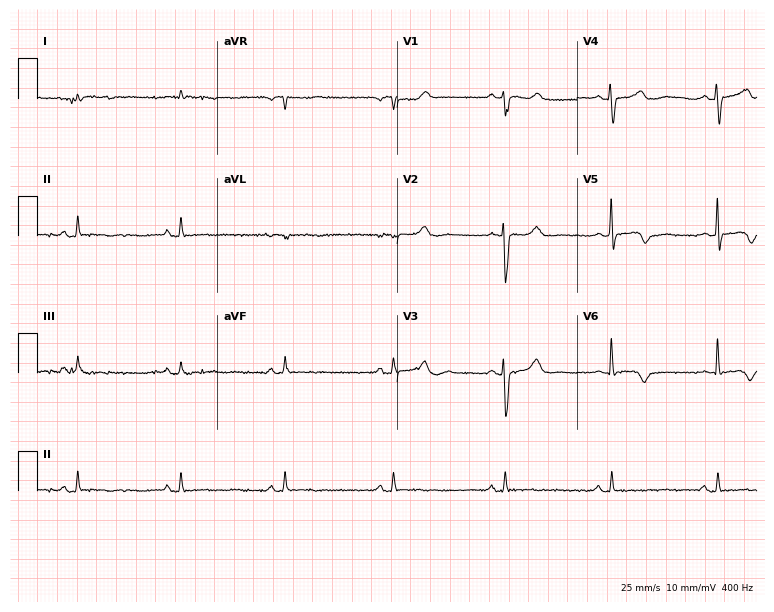
12-lead ECG from a 78-year-old female. No first-degree AV block, right bundle branch block (RBBB), left bundle branch block (LBBB), sinus bradycardia, atrial fibrillation (AF) or sinus tachycardia recorded for this tracing. Only these six findings were labelled.